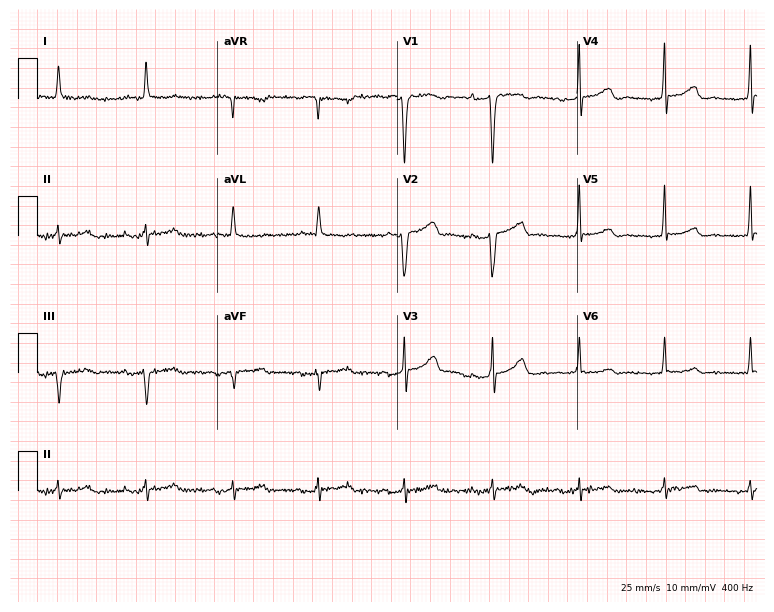
12-lead ECG from a female patient, 84 years old. Labelled as a normal ECG.